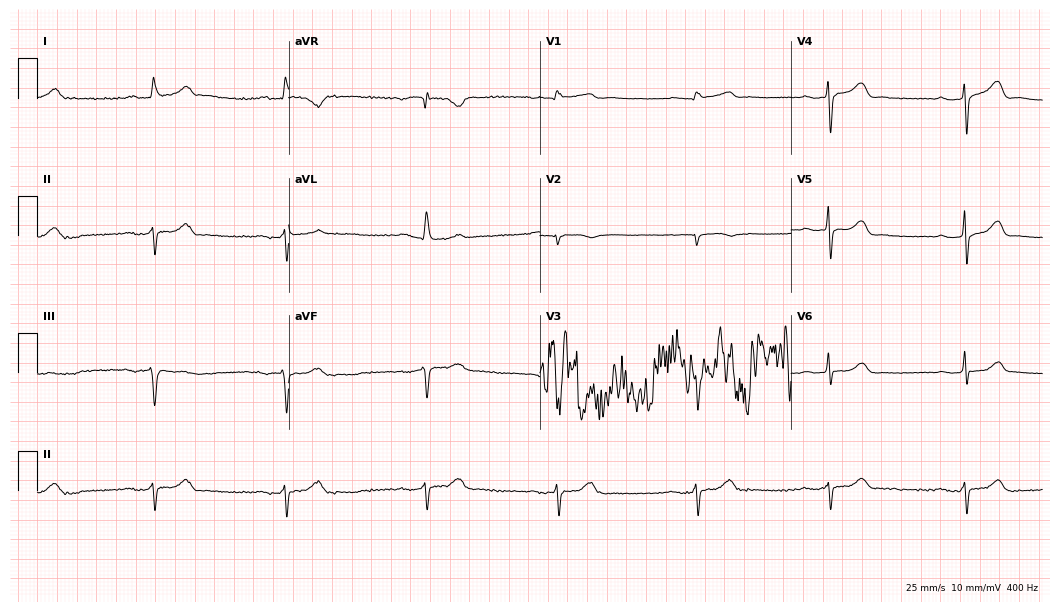
ECG (10.2-second recording at 400 Hz) — a woman, 83 years old. Findings include first-degree AV block, sinus bradycardia (a sinus rate of 50 beats per minute or less).